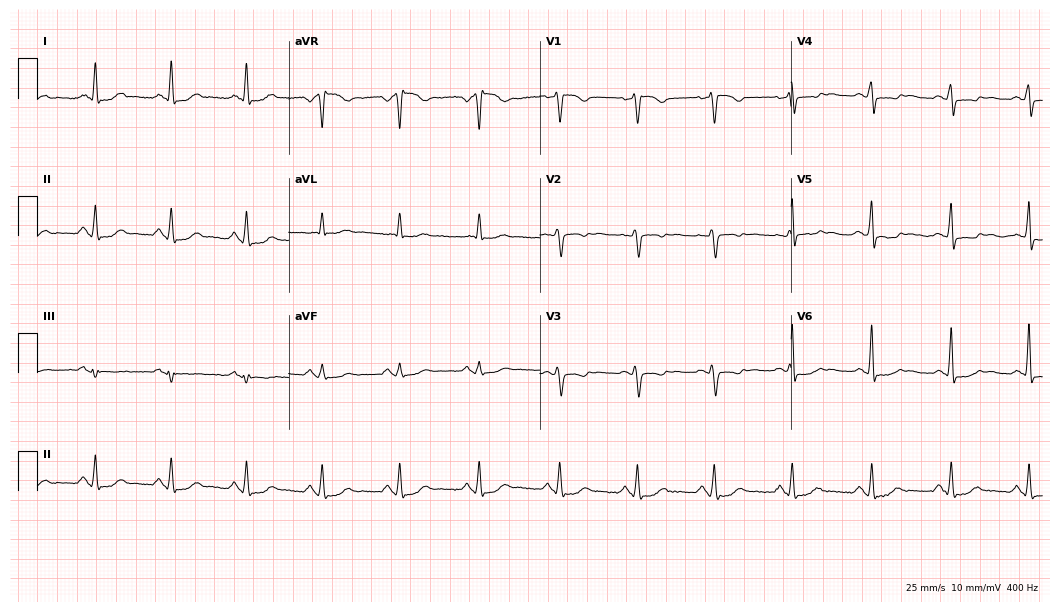
ECG (10.2-second recording at 400 Hz) — a female, 45 years old. Screened for six findings — first-degree AV block, right bundle branch block, left bundle branch block, sinus bradycardia, atrial fibrillation, sinus tachycardia — none is recorded. Findings outside these six are not listed.